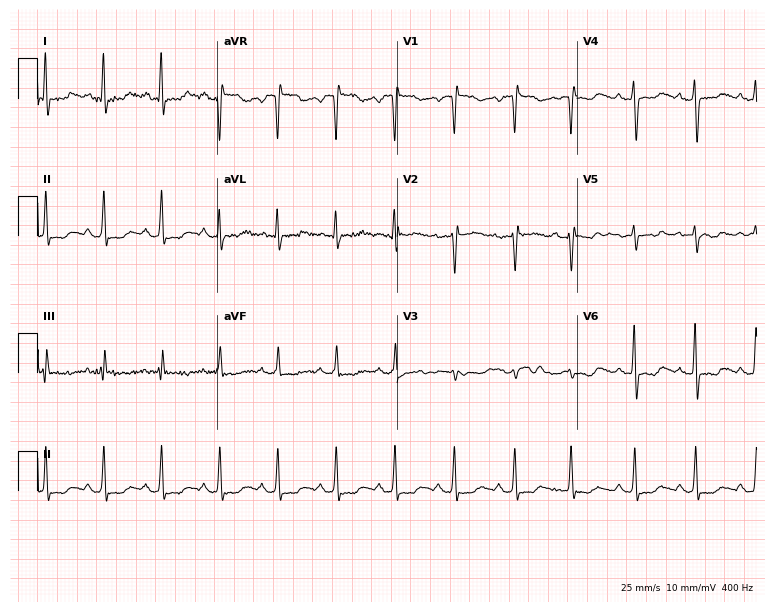
Standard 12-lead ECG recorded from a female patient, 33 years old. None of these six findings is recorded: first-degree AV block, right bundle branch block, left bundle branch block, sinus bradycardia, atrial fibrillation, sinus tachycardia. Findings outside these six are not listed.